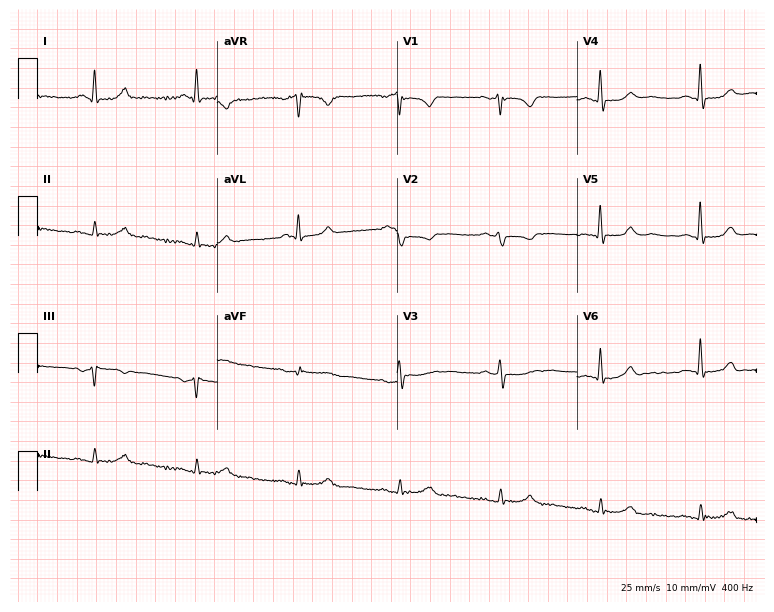
12-lead ECG from a 65-year-old female patient (7.3-second recording at 400 Hz). No first-degree AV block, right bundle branch block, left bundle branch block, sinus bradycardia, atrial fibrillation or sinus tachycardia recorded for this tracing. Findings outside these six are not listed.